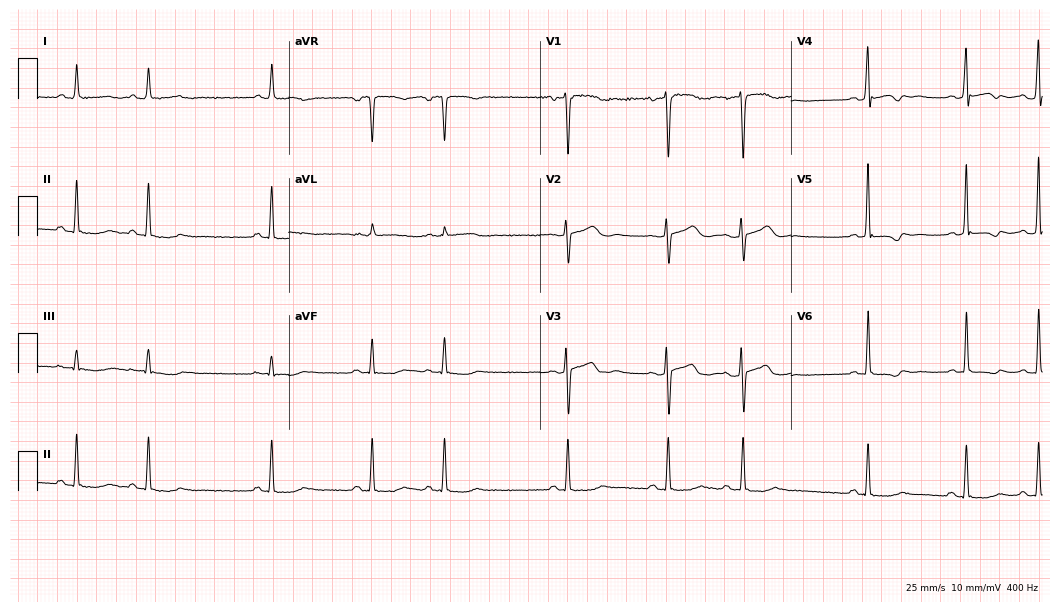
ECG — a female, 55 years old. Screened for six findings — first-degree AV block, right bundle branch block, left bundle branch block, sinus bradycardia, atrial fibrillation, sinus tachycardia — none is recorded.